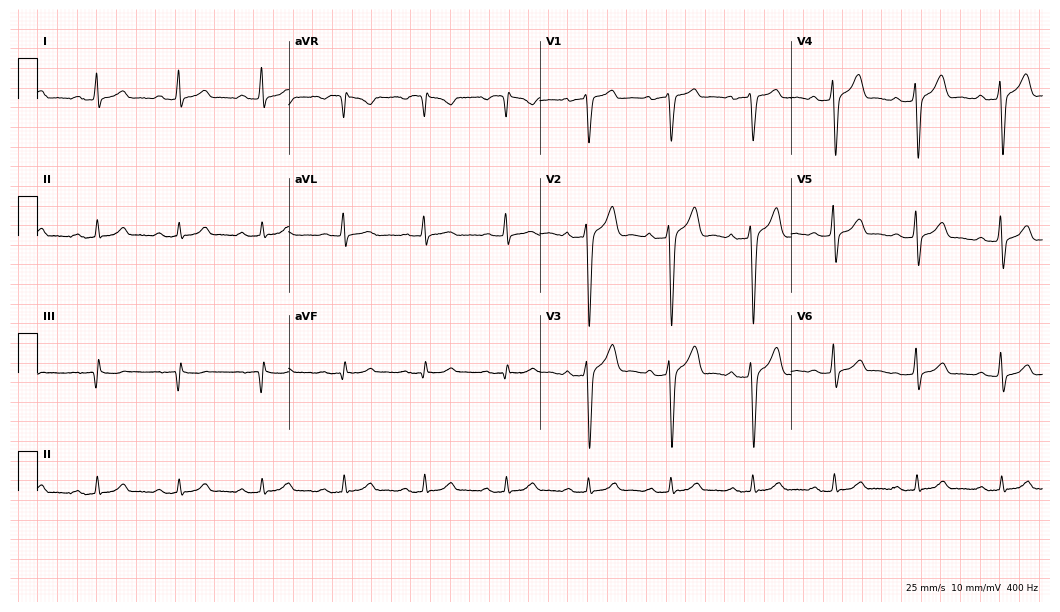
Electrocardiogram (10.2-second recording at 400 Hz), a 43-year-old male. Of the six screened findings (first-degree AV block, right bundle branch block (RBBB), left bundle branch block (LBBB), sinus bradycardia, atrial fibrillation (AF), sinus tachycardia), none is recorded.